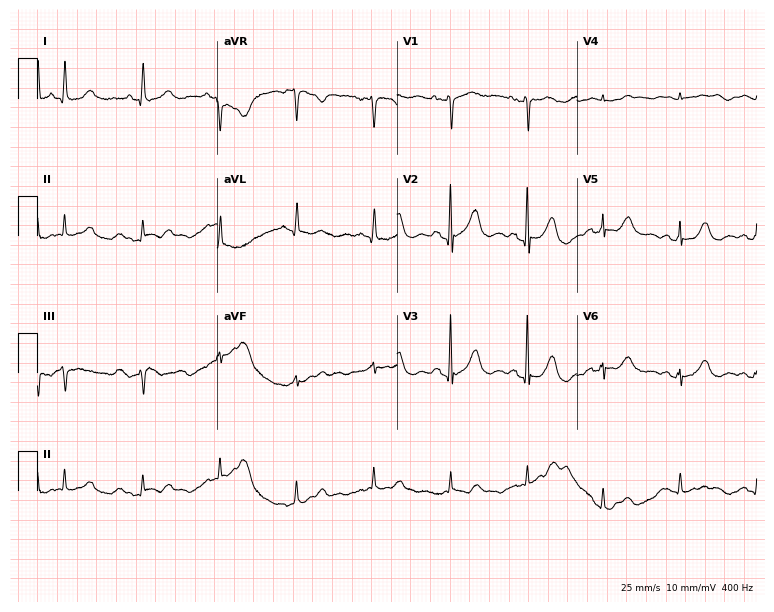
12-lead ECG from a woman, 79 years old. No first-degree AV block, right bundle branch block, left bundle branch block, sinus bradycardia, atrial fibrillation or sinus tachycardia recorded for this tracing. Other findings, if any, are not listed.